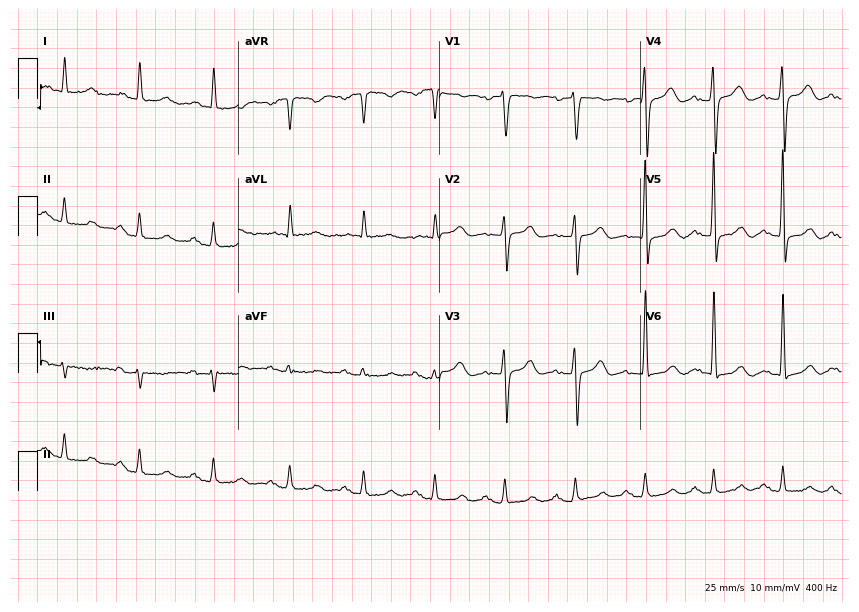
ECG (8.2-second recording at 400 Hz) — an 83-year-old male patient. Labelled as a normal ECG.